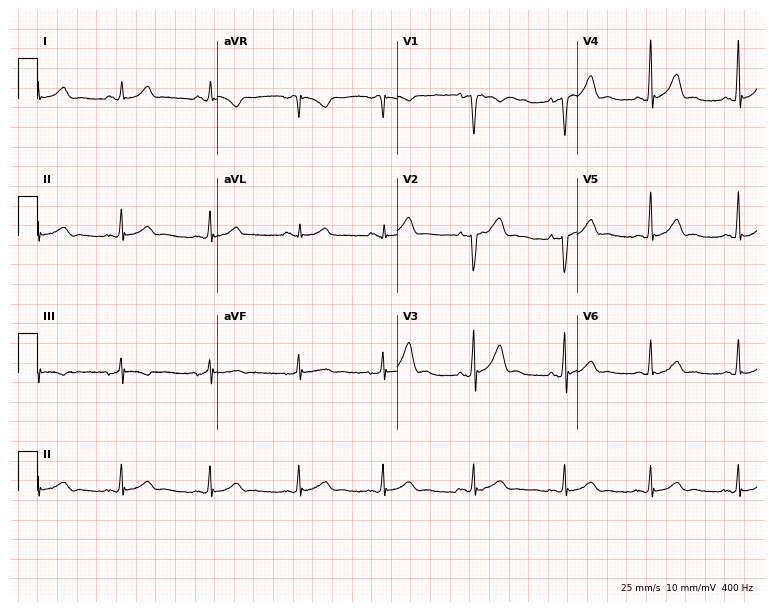
Standard 12-lead ECG recorded from a male patient, 33 years old. Read as a normal ECG.